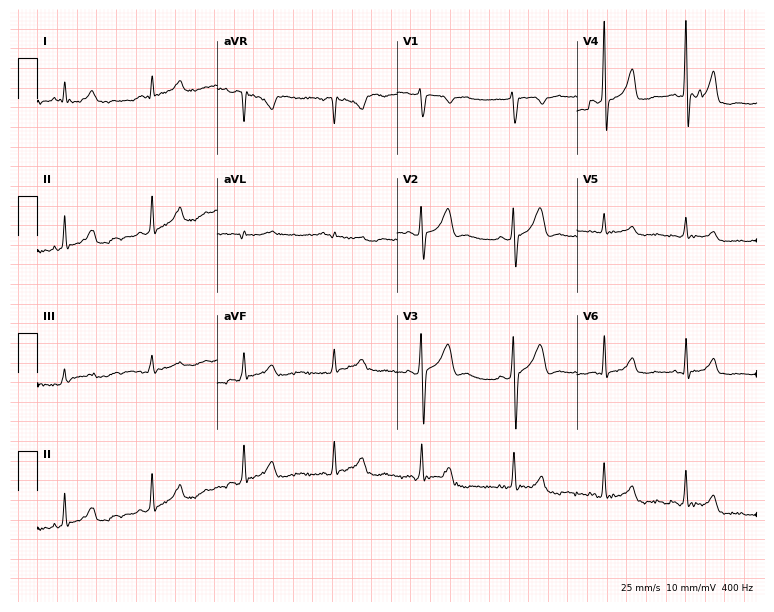
12-lead ECG from a 36-year-old man. Screened for six findings — first-degree AV block, right bundle branch block, left bundle branch block, sinus bradycardia, atrial fibrillation, sinus tachycardia — none is recorded. Findings outside these six are not listed.